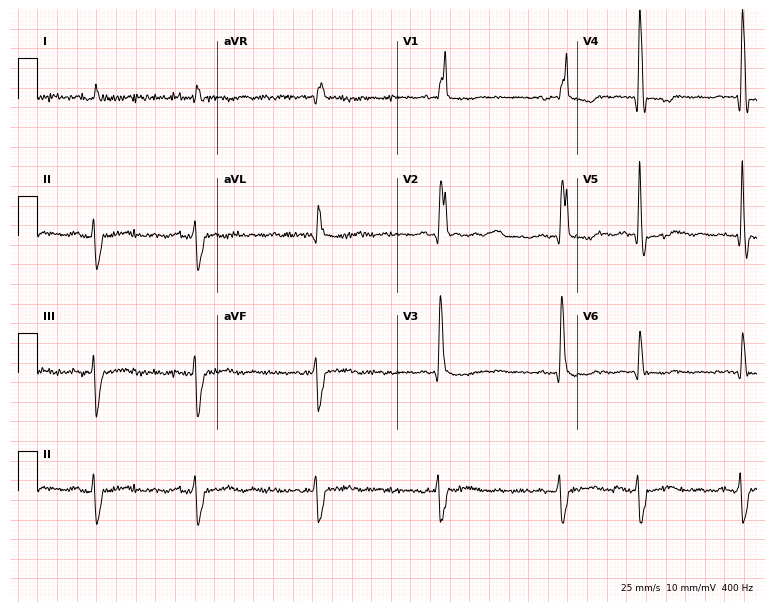
Standard 12-lead ECG recorded from a 78-year-old woman (7.3-second recording at 400 Hz). The tracing shows right bundle branch block, atrial fibrillation.